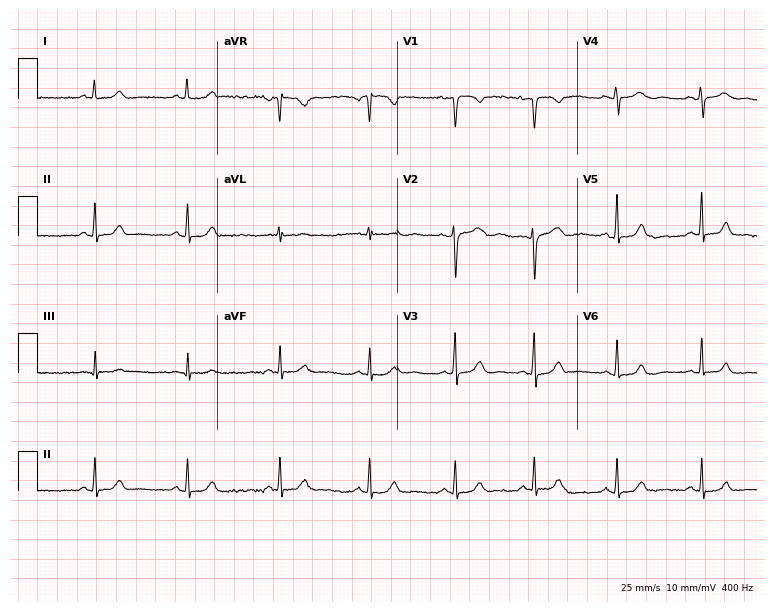
Electrocardiogram (7.3-second recording at 400 Hz), a 36-year-old female. Overall reading on record: normal ECG.